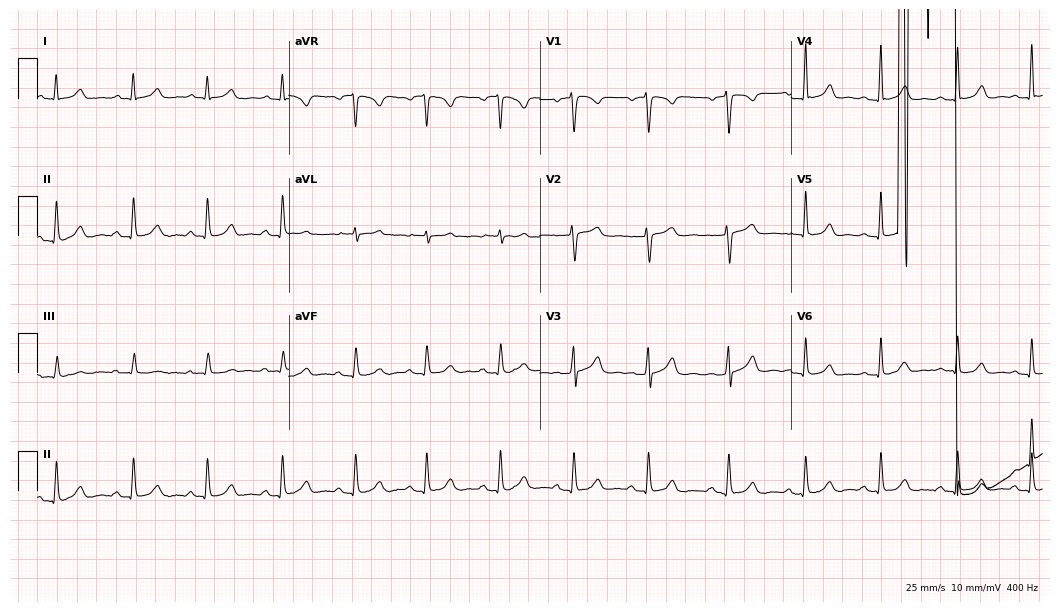
12-lead ECG from a 42-year-old female. Recorded interpretation: within normal limits.